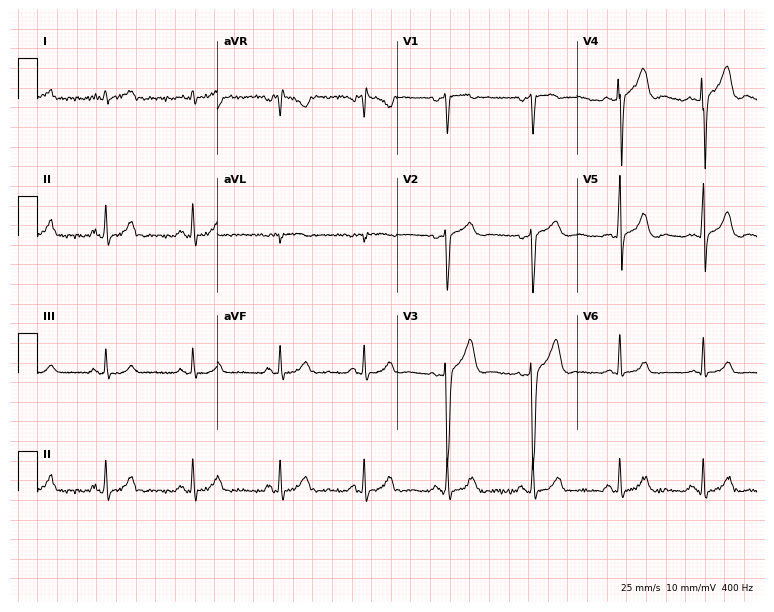
Standard 12-lead ECG recorded from a 35-year-old male patient. None of these six findings is recorded: first-degree AV block, right bundle branch block, left bundle branch block, sinus bradycardia, atrial fibrillation, sinus tachycardia. Findings outside these six are not listed.